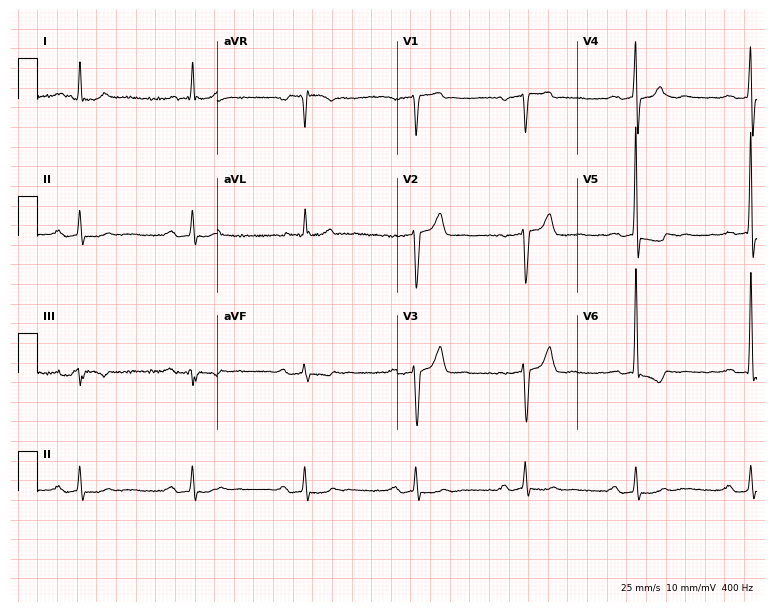
Standard 12-lead ECG recorded from a male, 77 years old (7.3-second recording at 400 Hz). The tracing shows first-degree AV block.